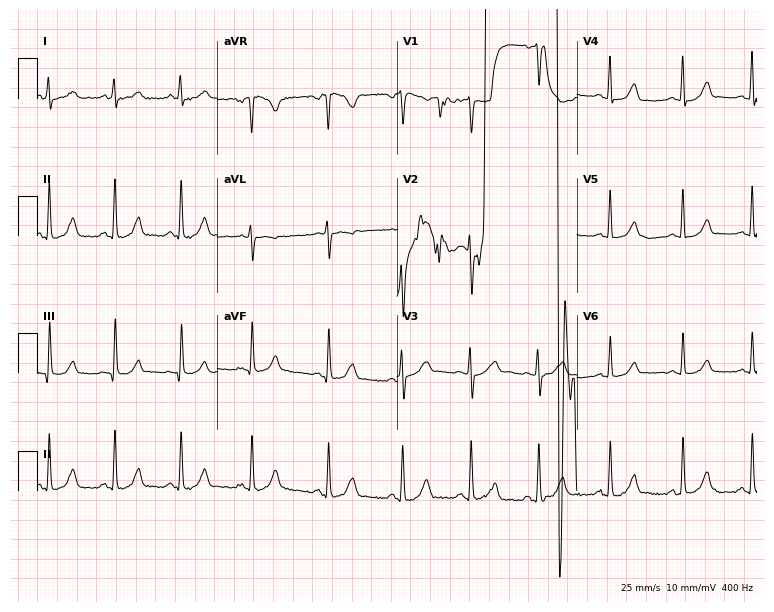
ECG (7.3-second recording at 400 Hz) — a female patient, 31 years old. Screened for six findings — first-degree AV block, right bundle branch block, left bundle branch block, sinus bradycardia, atrial fibrillation, sinus tachycardia — none is recorded. Only these six findings were labelled.